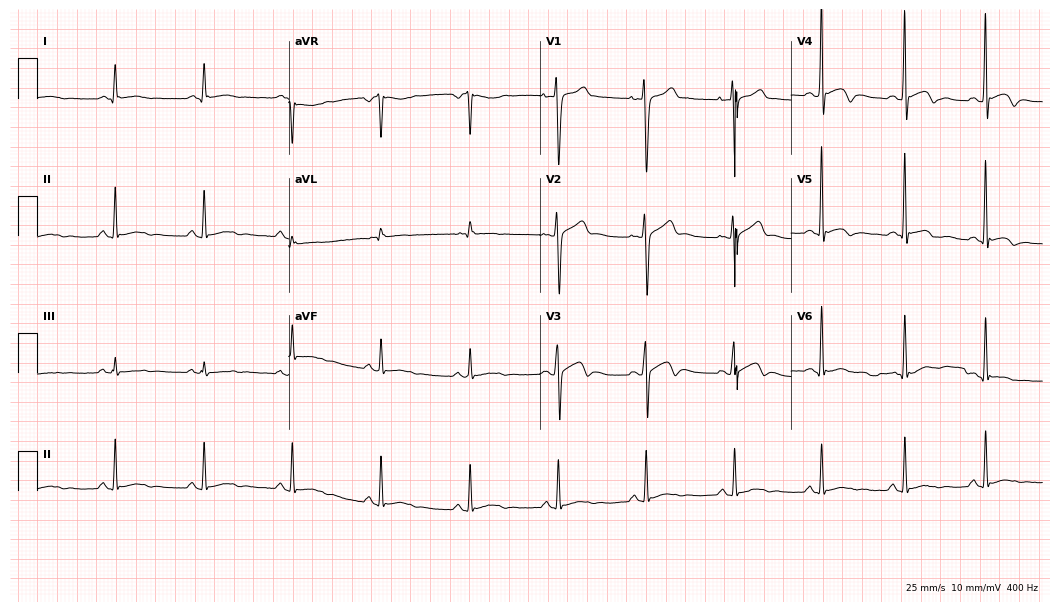
Resting 12-lead electrocardiogram. Patient: a 17-year-old male. None of these six findings is recorded: first-degree AV block, right bundle branch block (RBBB), left bundle branch block (LBBB), sinus bradycardia, atrial fibrillation (AF), sinus tachycardia.